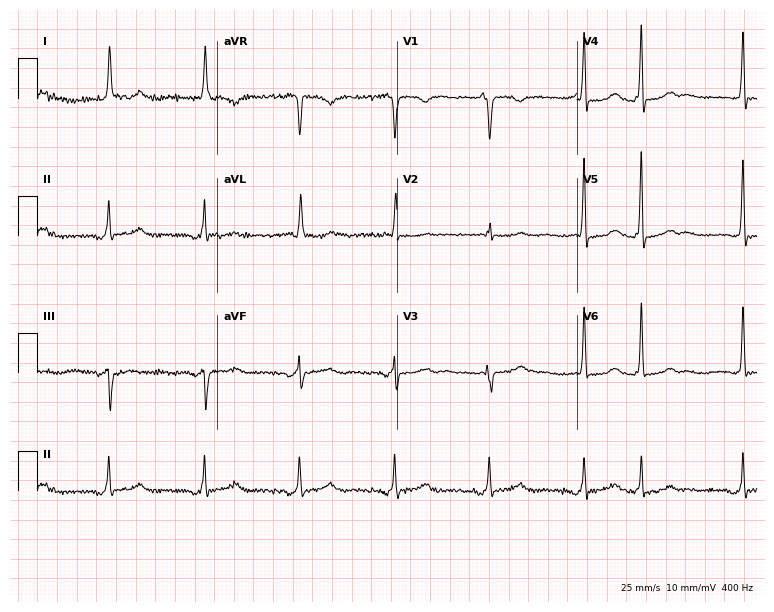
12-lead ECG from a woman, 77 years old (7.3-second recording at 400 Hz). No first-degree AV block, right bundle branch block (RBBB), left bundle branch block (LBBB), sinus bradycardia, atrial fibrillation (AF) or sinus tachycardia recorded for this tracing.